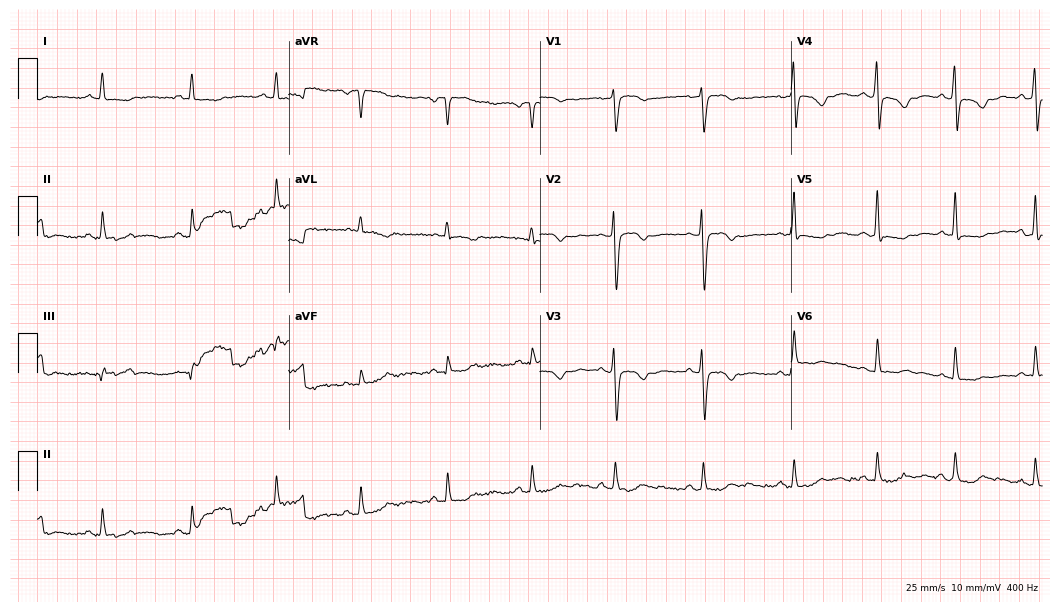
Resting 12-lead electrocardiogram (10.2-second recording at 400 Hz). Patient: a female, 61 years old. None of these six findings is recorded: first-degree AV block, right bundle branch block, left bundle branch block, sinus bradycardia, atrial fibrillation, sinus tachycardia. Findings outside these six are not listed.